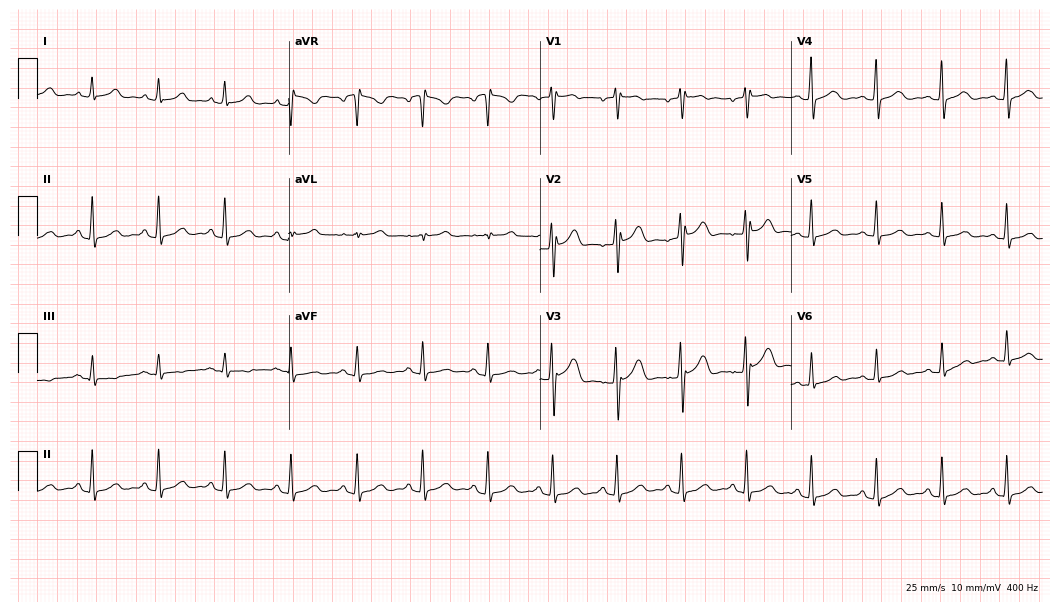
ECG — a female patient, 51 years old. Labelled as a normal ECG.